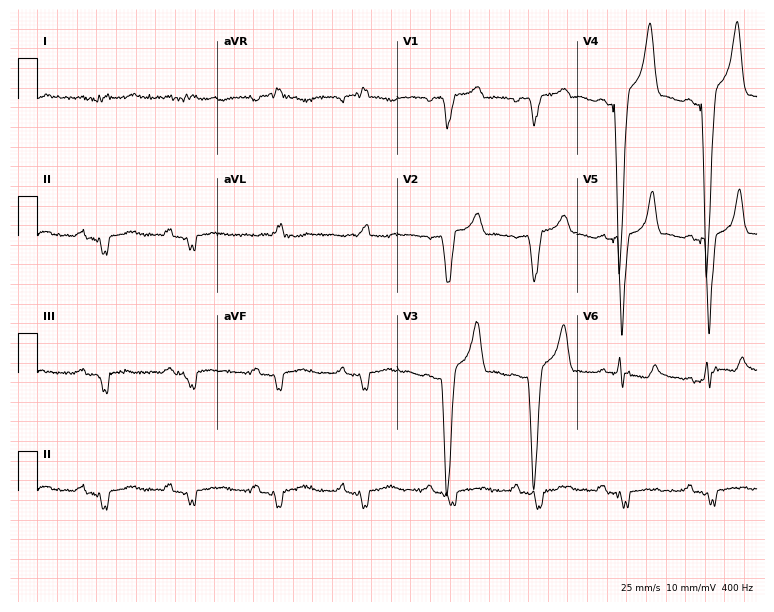
Electrocardiogram, a 66-year-old male patient. Of the six screened findings (first-degree AV block, right bundle branch block, left bundle branch block, sinus bradycardia, atrial fibrillation, sinus tachycardia), none is recorded.